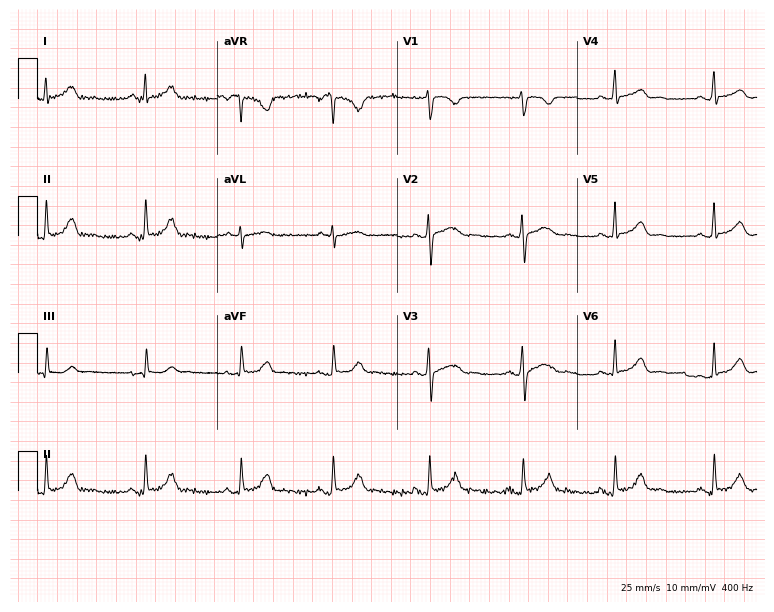
Electrocardiogram (7.3-second recording at 400 Hz), a female patient, 23 years old. Overall reading on record: normal ECG.